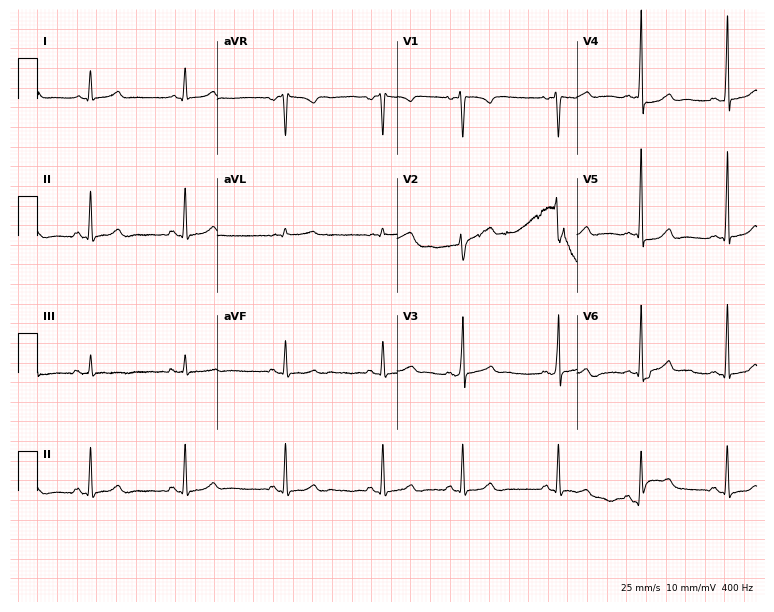
12-lead ECG from a 34-year-old female patient. Recorded interpretation: within normal limits.